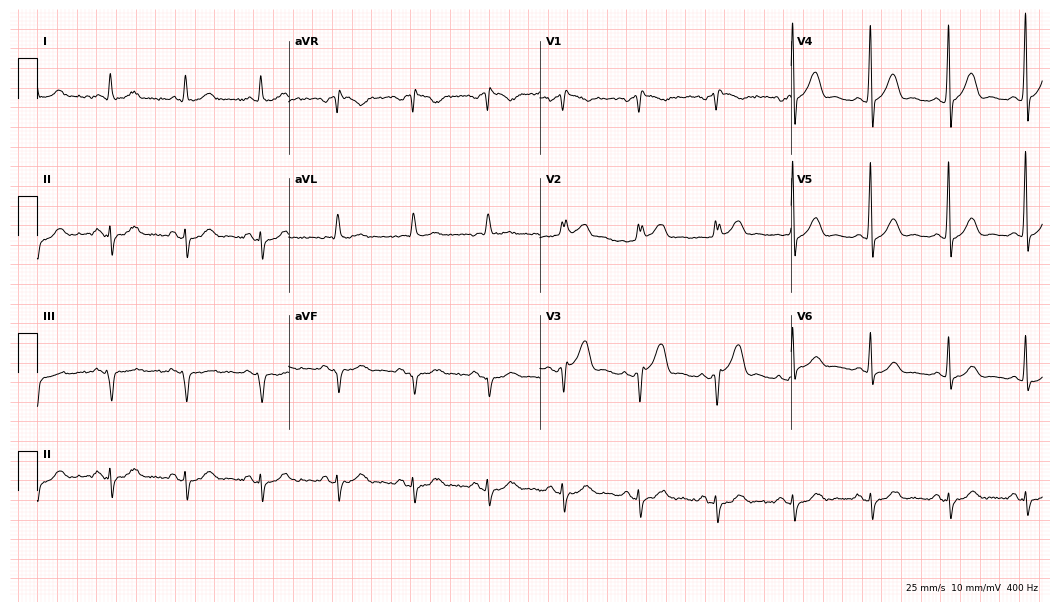
ECG — a 69-year-old man. Screened for six findings — first-degree AV block, right bundle branch block, left bundle branch block, sinus bradycardia, atrial fibrillation, sinus tachycardia — none is recorded.